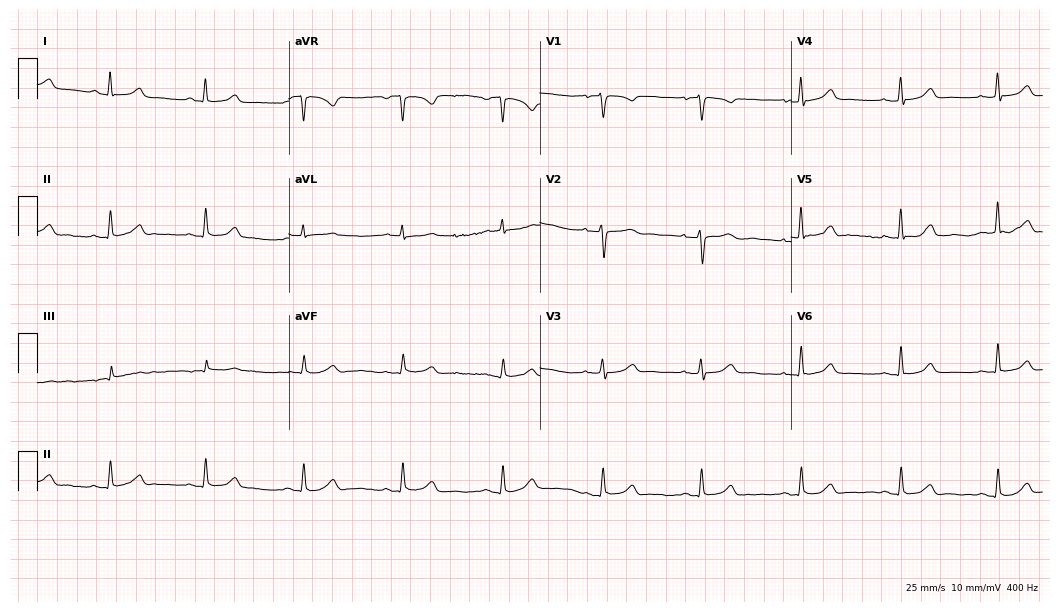
Electrocardiogram, a 52-year-old woman. Overall reading on record: normal ECG.